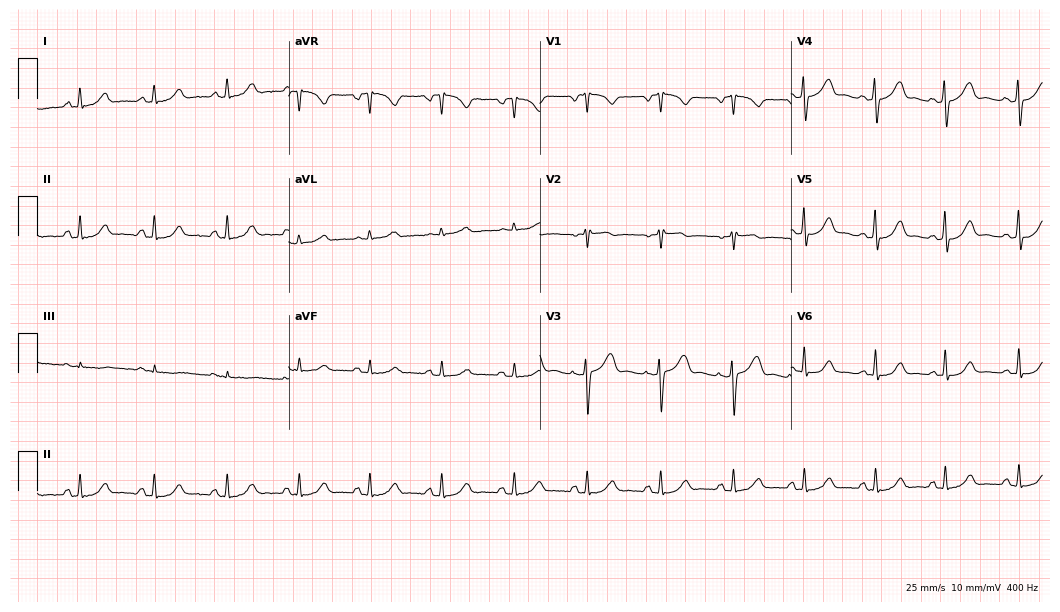
Standard 12-lead ECG recorded from a woman, 33 years old (10.2-second recording at 400 Hz). Read as a normal ECG.